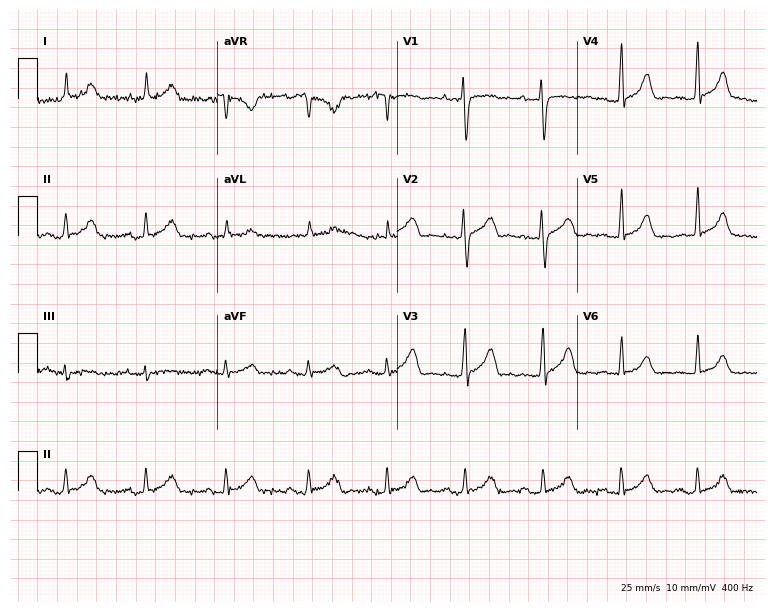
12-lead ECG from a female patient, 34 years old (7.3-second recording at 400 Hz). No first-degree AV block, right bundle branch block, left bundle branch block, sinus bradycardia, atrial fibrillation or sinus tachycardia recorded for this tracing. Only these six findings were labelled.